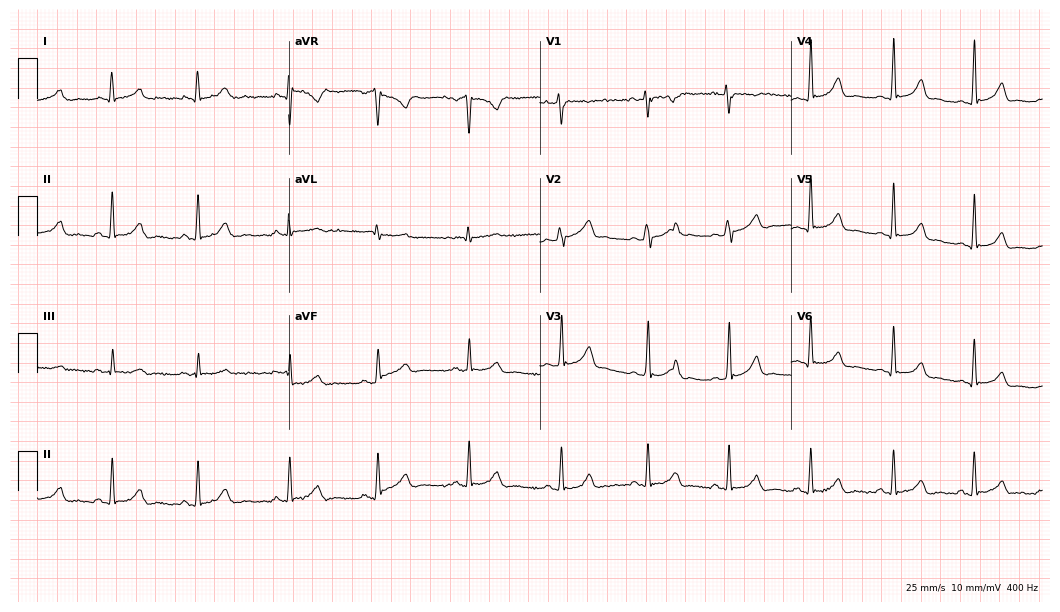
Electrocardiogram (10.2-second recording at 400 Hz), a 27-year-old female. Of the six screened findings (first-degree AV block, right bundle branch block, left bundle branch block, sinus bradycardia, atrial fibrillation, sinus tachycardia), none is recorded.